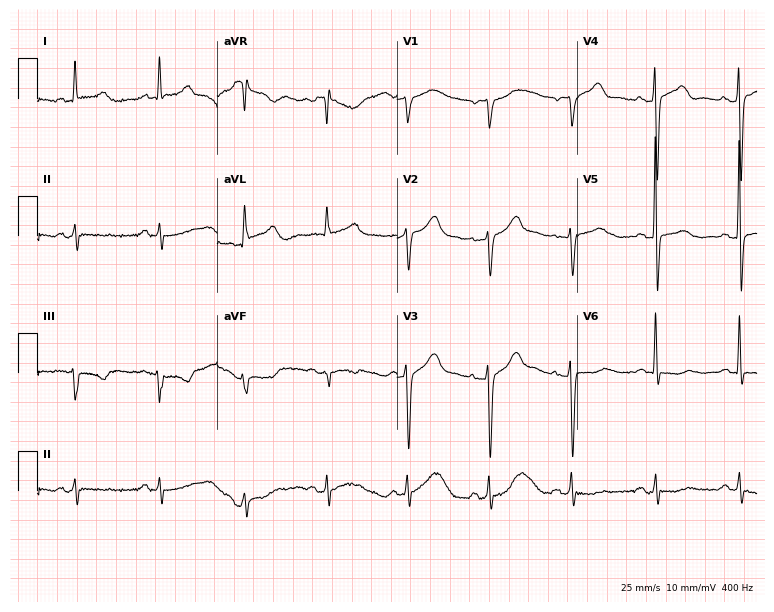
Electrocardiogram (7.3-second recording at 400 Hz), a 67-year-old male patient. Of the six screened findings (first-degree AV block, right bundle branch block, left bundle branch block, sinus bradycardia, atrial fibrillation, sinus tachycardia), none is recorded.